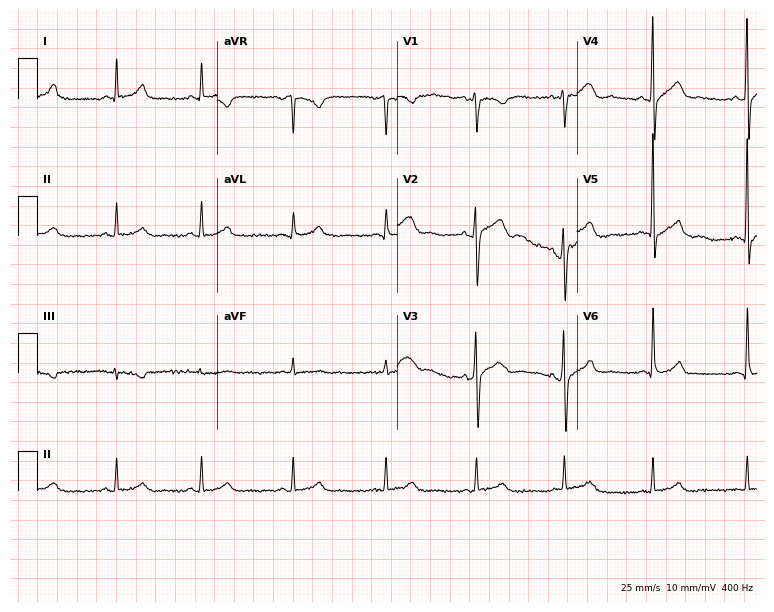
Resting 12-lead electrocardiogram (7.3-second recording at 400 Hz). Patient: a 36-year-old male. Read as a normal ECG.